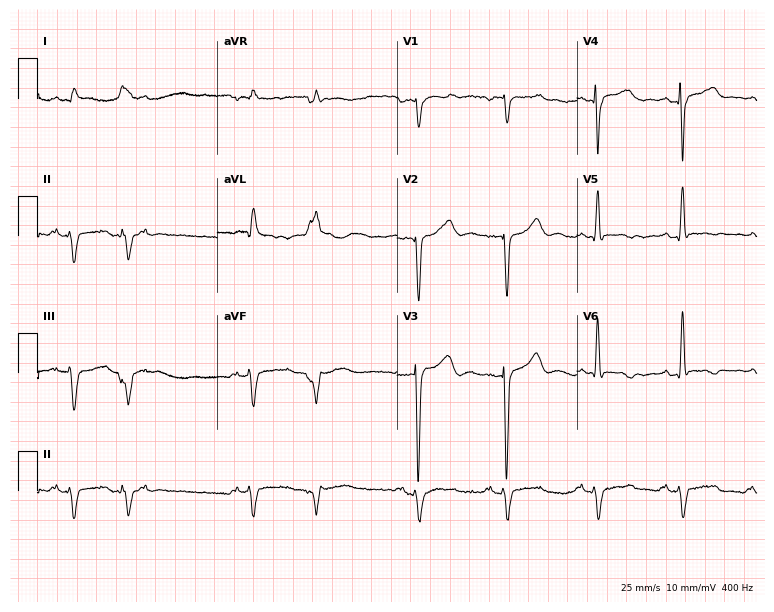
12-lead ECG from a 65-year-old male (7.3-second recording at 400 Hz). No first-degree AV block, right bundle branch block, left bundle branch block, sinus bradycardia, atrial fibrillation or sinus tachycardia recorded for this tracing.